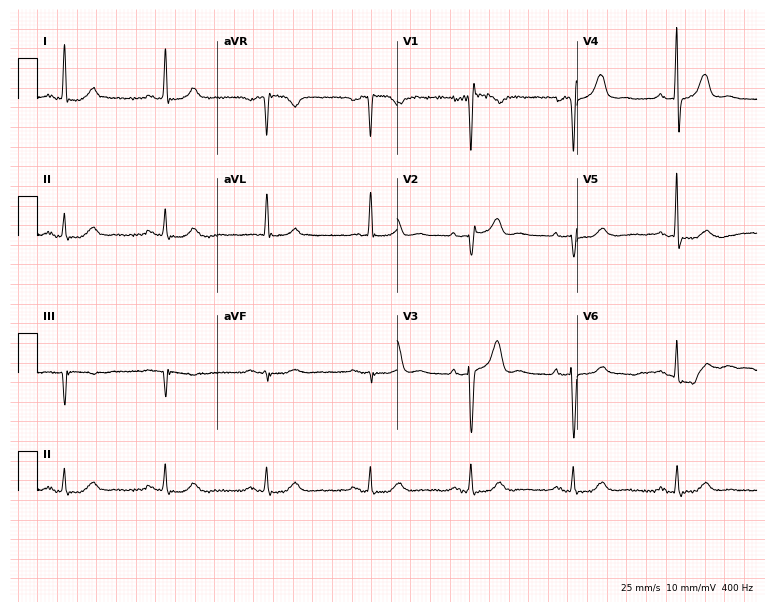
ECG (7.3-second recording at 400 Hz) — a 75-year-old man. Labelled as a normal ECG.